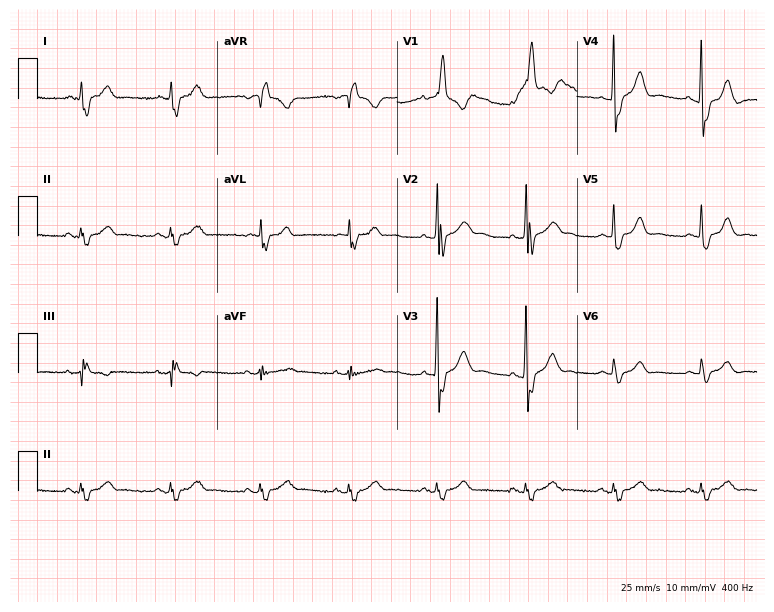
Standard 12-lead ECG recorded from a male, 60 years old (7.3-second recording at 400 Hz). The tracing shows right bundle branch block (RBBB).